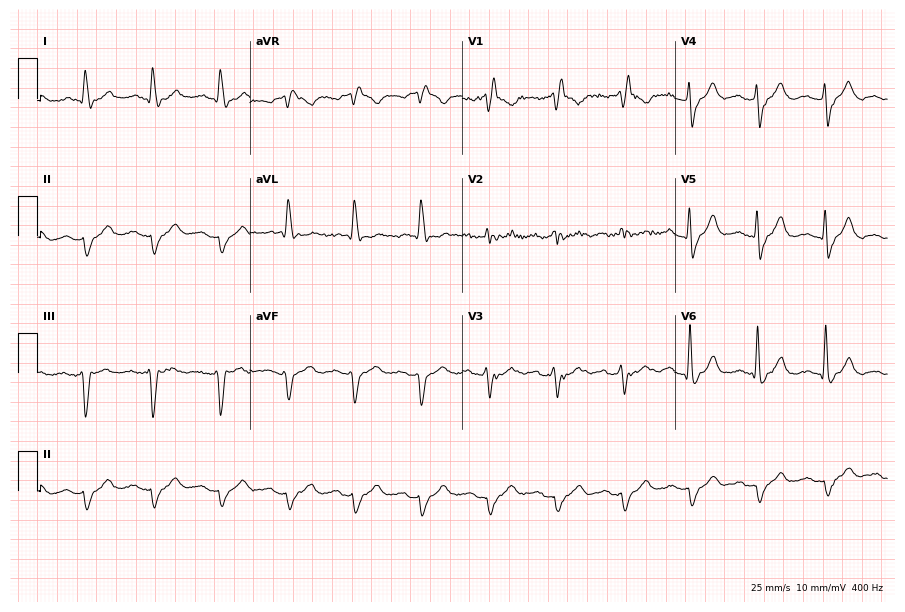
12-lead ECG (8.7-second recording at 400 Hz) from an 81-year-old male patient. Screened for six findings — first-degree AV block, right bundle branch block, left bundle branch block, sinus bradycardia, atrial fibrillation, sinus tachycardia — none is recorded.